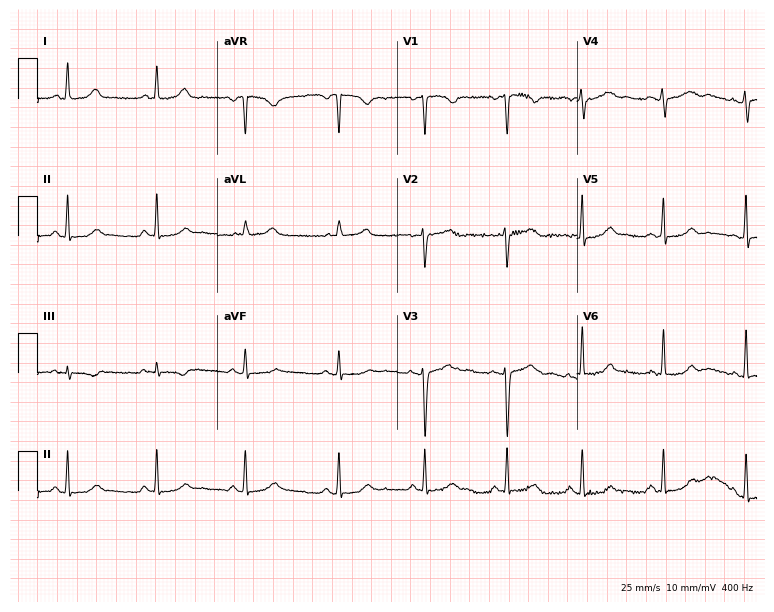
12-lead ECG from a 20-year-old female patient. Recorded interpretation: within normal limits.